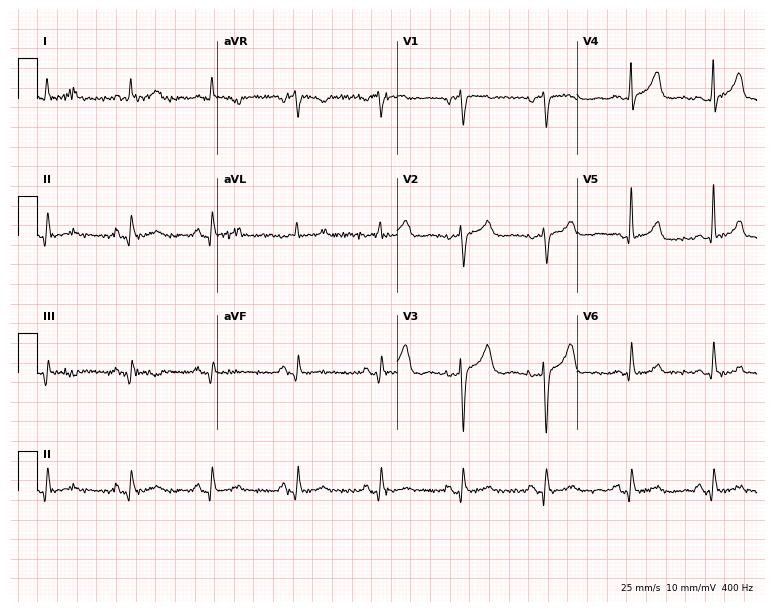
Standard 12-lead ECG recorded from a 74-year-old female patient (7.3-second recording at 400 Hz). None of these six findings is recorded: first-degree AV block, right bundle branch block, left bundle branch block, sinus bradycardia, atrial fibrillation, sinus tachycardia. Findings outside these six are not listed.